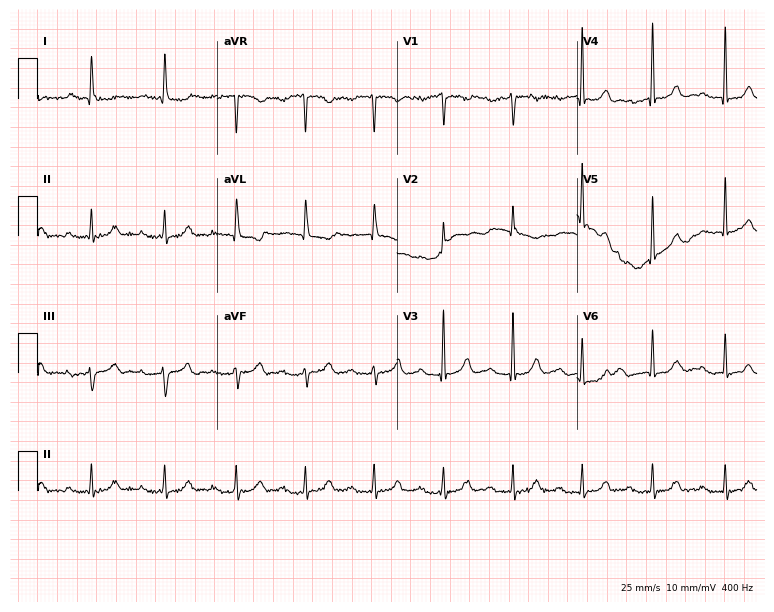
Standard 12-lead ECG recorded from a man, 85 years old. None of these six findings is recorded: first-degree AV block, right bundle branch block (RBBB), left bundle branch block (LBBB), sinus bradycardia, atrial fibrillation (AF), sinus tachycardia.